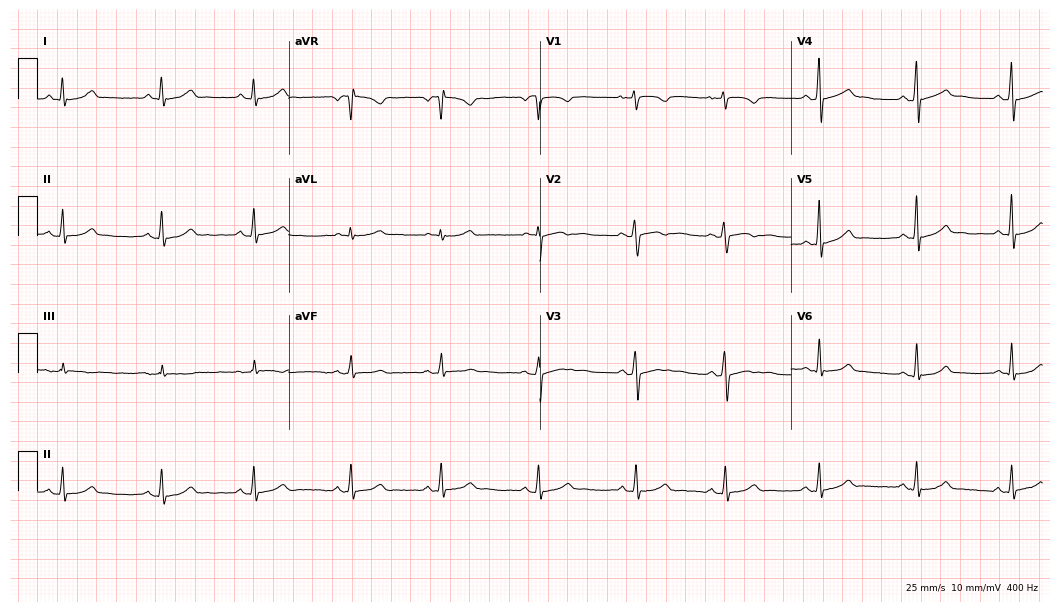
Resting 12-lead electrocardiogram. Patient: a 33-year-old female. Read as a normal ECG.